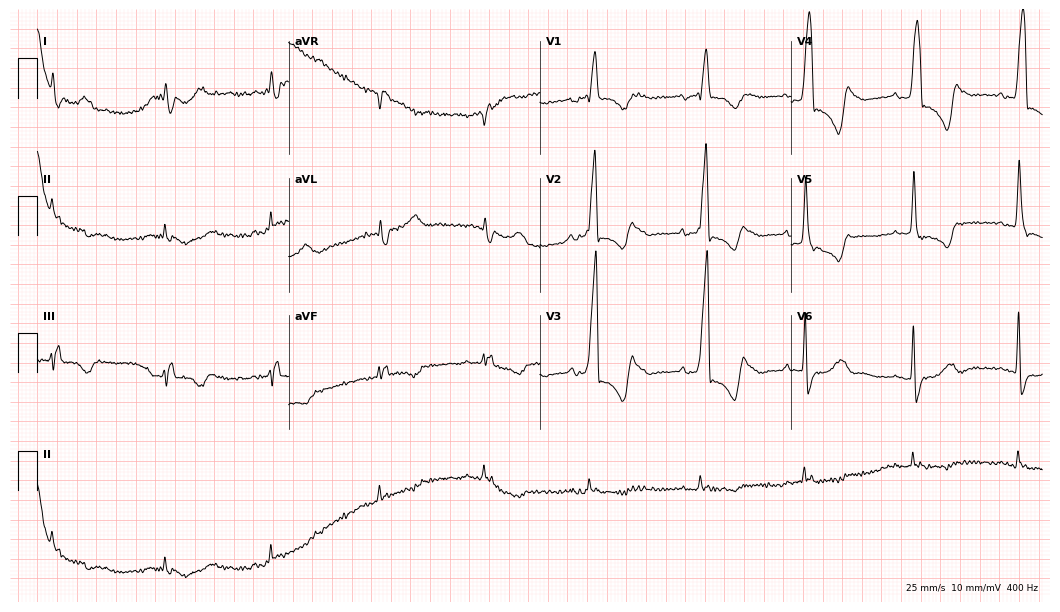
ECG — an 83-year-old male. Findings include right bundle branch block.